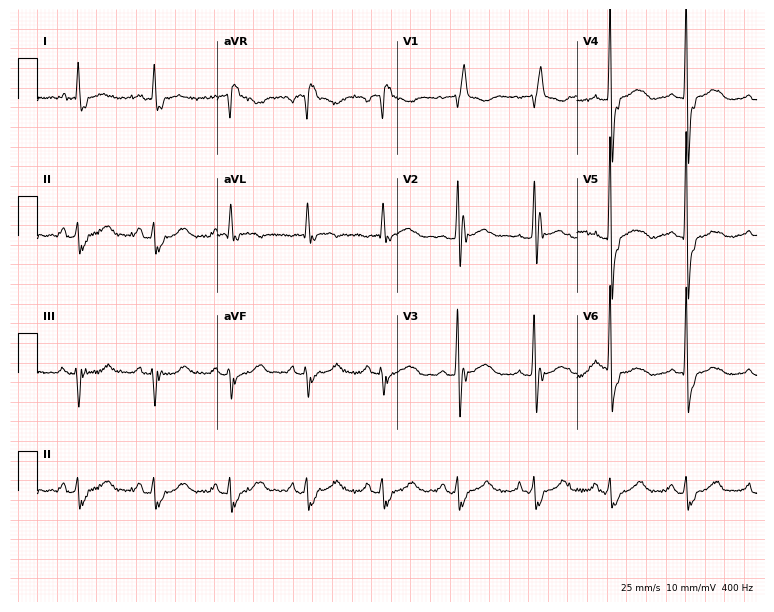
Electrocardiogram, a woman, 71 years old. Interpretation includes right bundle branch block.